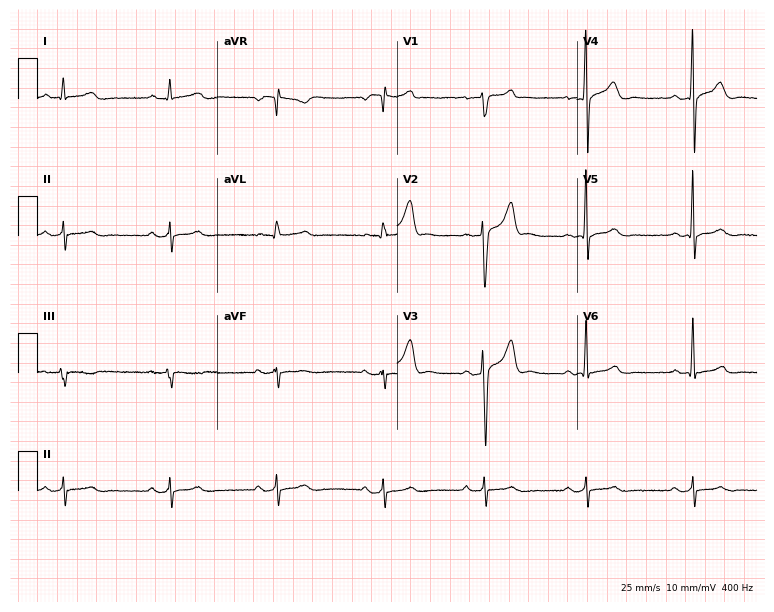
Standard 12-lead ECG recorded from a male, 33 years old. None of these six findings is recorded: first-degree AV block, right bundle branch block (RBBB), left bundle branch block (LBBB), sinus bradycardia, atrial fibrillation (AF), sinus tachycardia.